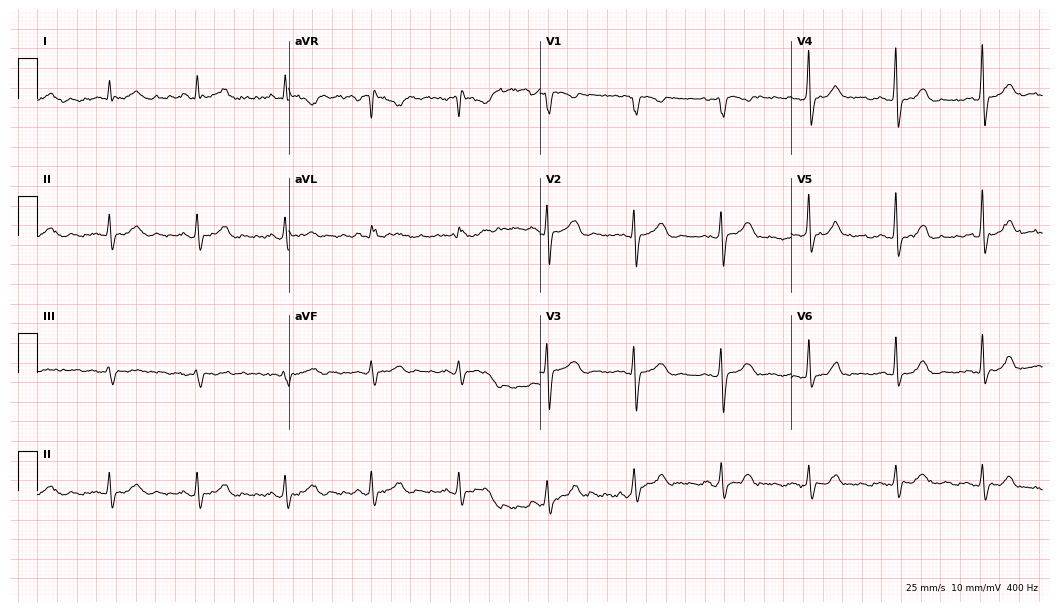
ECG (10.2-second recording at 400 Hz) — a female, 69 years old. Labelled as a normal ECG.